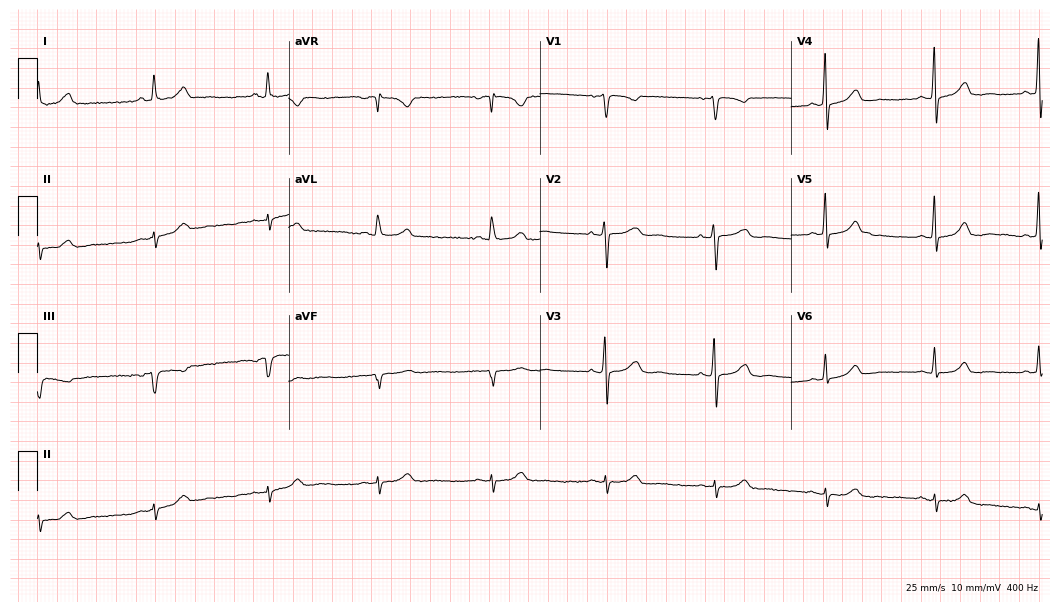
12-lead ECG from a female patient, 63 years old. Screened for six findings — first-degree AV block, right bundle branch block, left bundle branch block, sinus bradycardia, atrial fibrillation, sinus tachycardia — none is recorded.